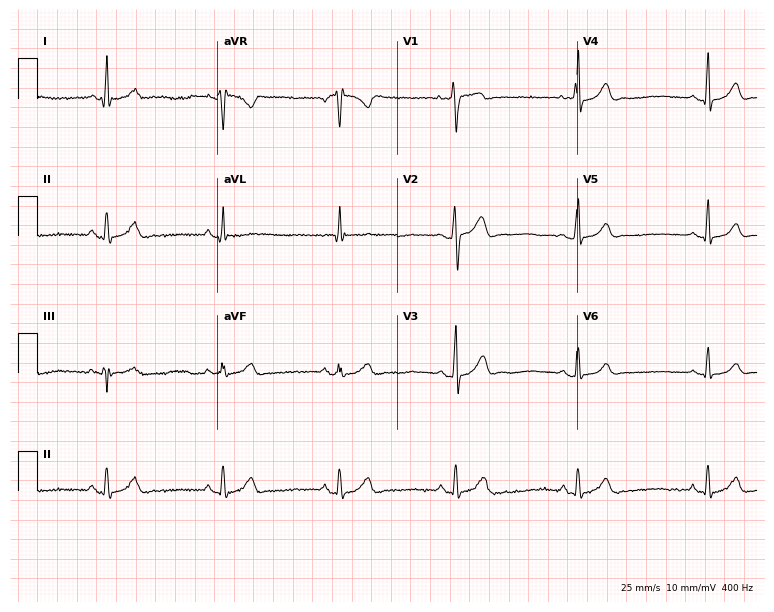
Resting 12-lead electrocardiogram (7.3-second recording at 400 Hz). Patient: a 21-year-old male. Read as a normal ECG.